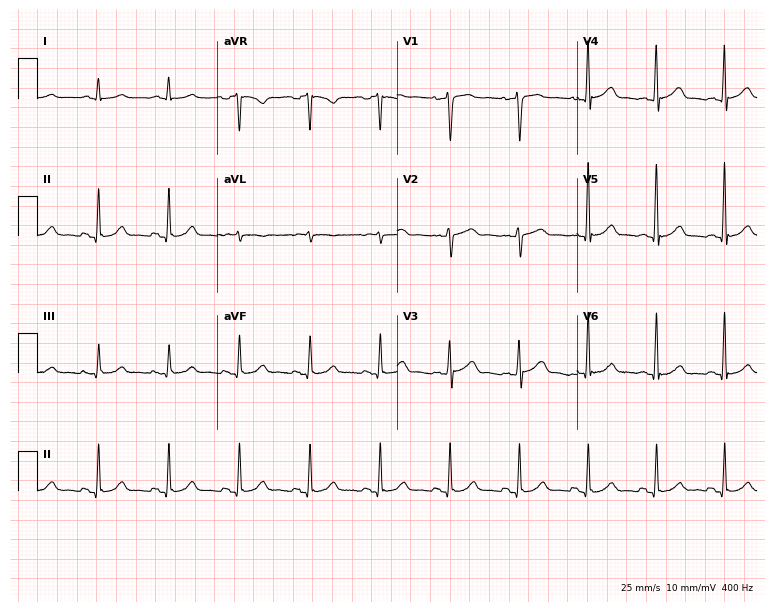
12-lead ECG from a man, 51 years old. Labelled as a normal ECG.